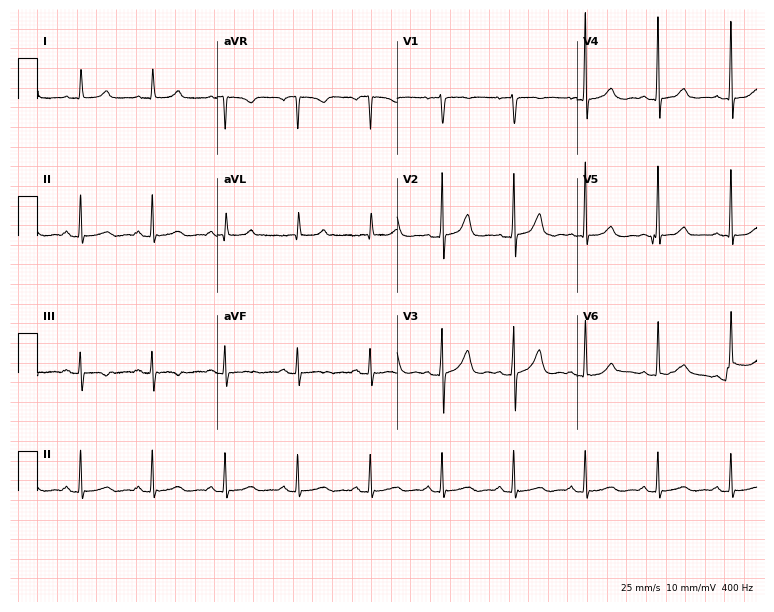
12-lead ECG from a 61-year-old woman. Recorded interpretation: within normal limits.